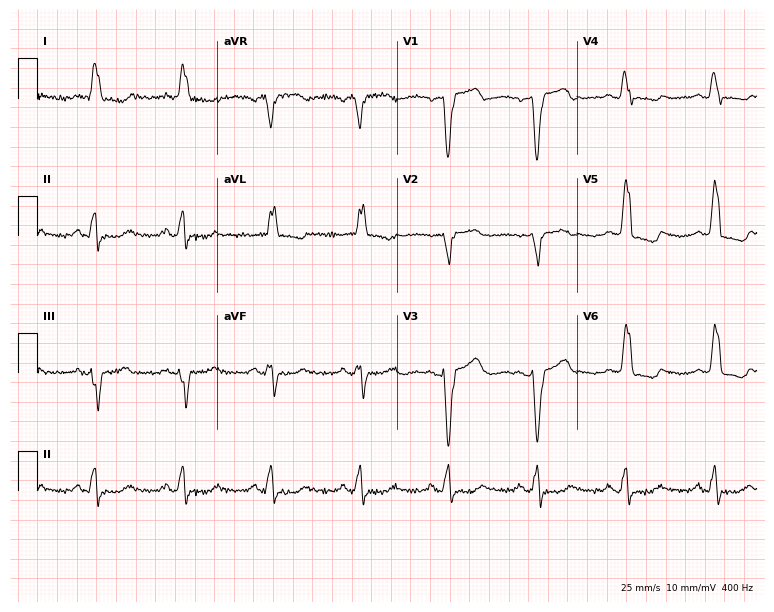
ECG (7.3-second recording at 400 Hz) — a female, 81 years old. Findings include left bundle branch block.